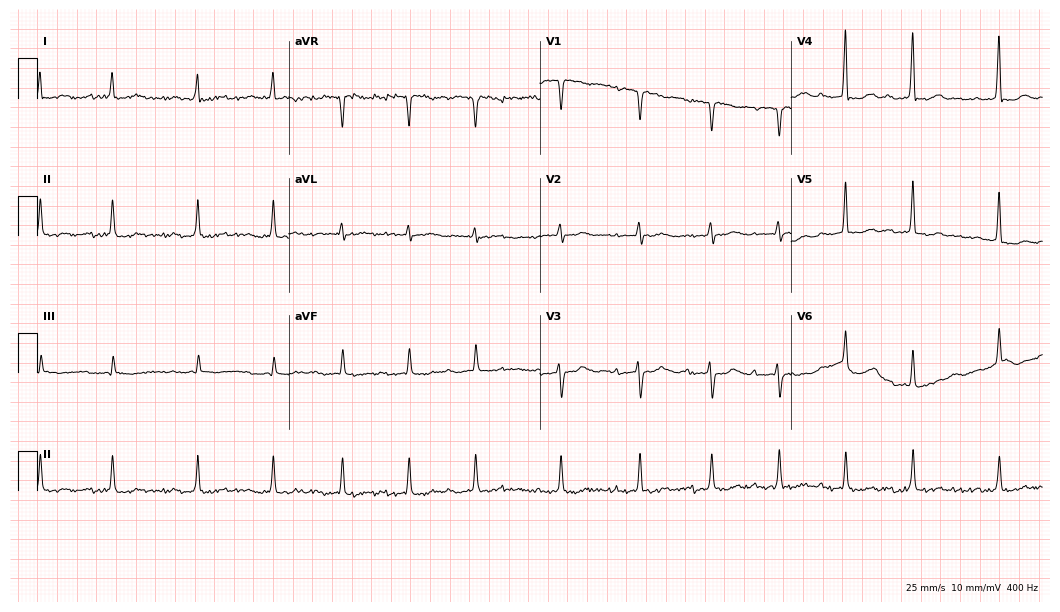
Resting 12-lead electrocardiogram. Patient: a woman, 68 years old. None of these six findings is recorded: first-degree AV block, right bundle branch block (RBBB), left bundle branch block (LBBB), sinus bradycardia, atrial fibrillation (AF), sinus tachycardia. Only these six findings were labelled.